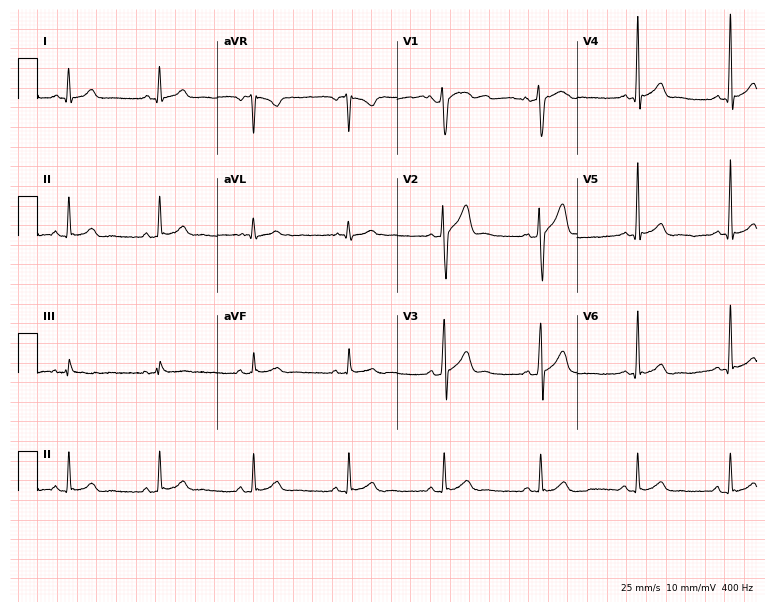
Resting 12-lead electrocardiogram (7.3-second recording at 400 Hz). Patient: a 35-year-old male. Read as a normal ECG.